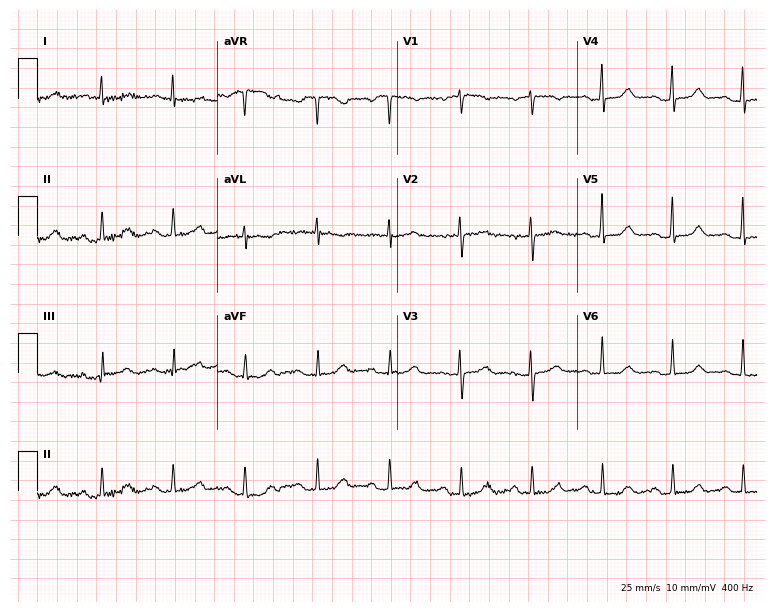
Resting 12-lead electrocardiogram. Patient: a female, 76 years old. Read as a normal ECG.